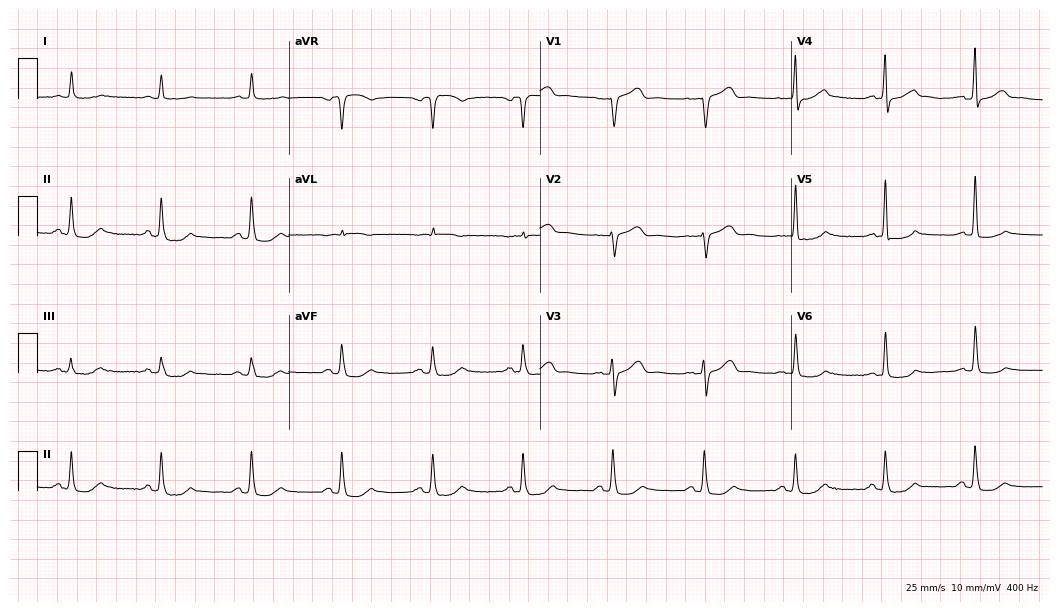
12-lead ECG from a male, 81 years old (10.2-second recording at 400 Hz). Recorded interpretation: within normal limits.